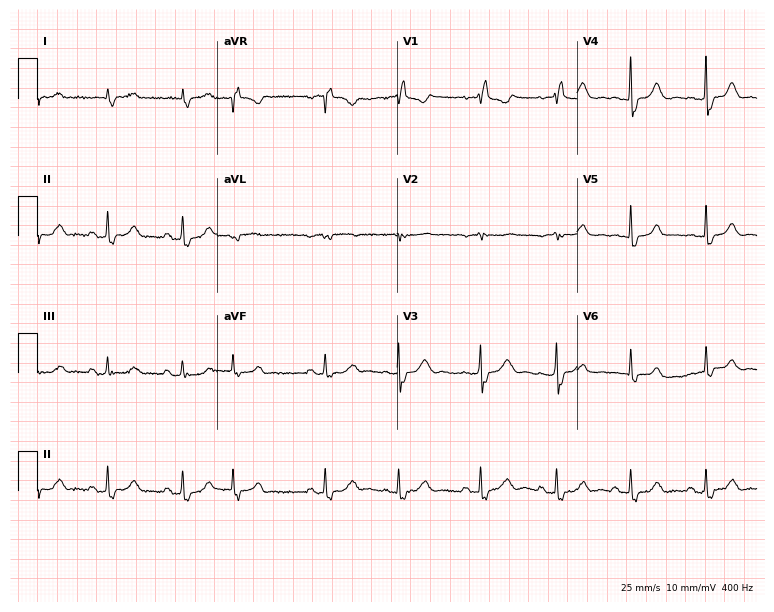
ECG (7.3-second recording at 400 Hz) — a 77-year-old female. Screened for six findings — first-degree AV block, right bundle branch block (RBBB), left bundle branch block (LBBB), sinus bradycardia, atrial fibrillation (AF), sinus tachycardia — none is recorded. Findings outside these six are not listed.